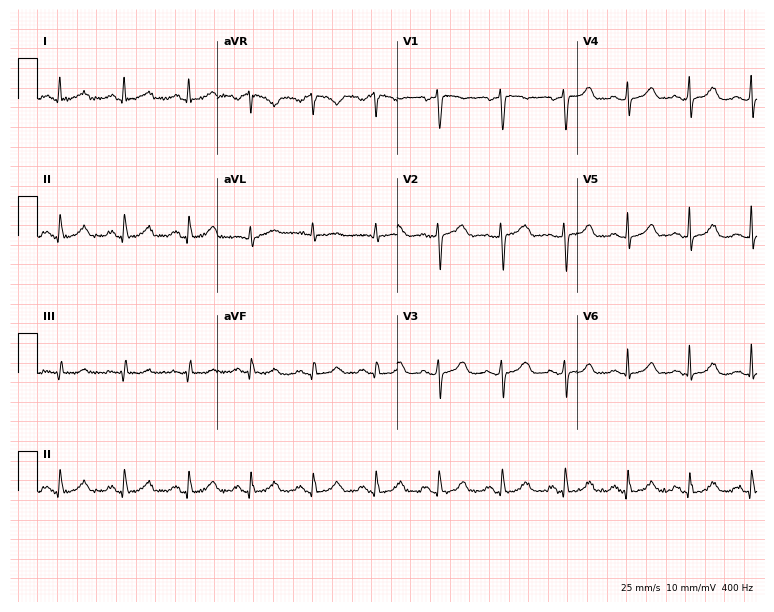
Resting 12-lead electrocardiogram. Patient: a woman, 45 years old. Read as a normal ECG.